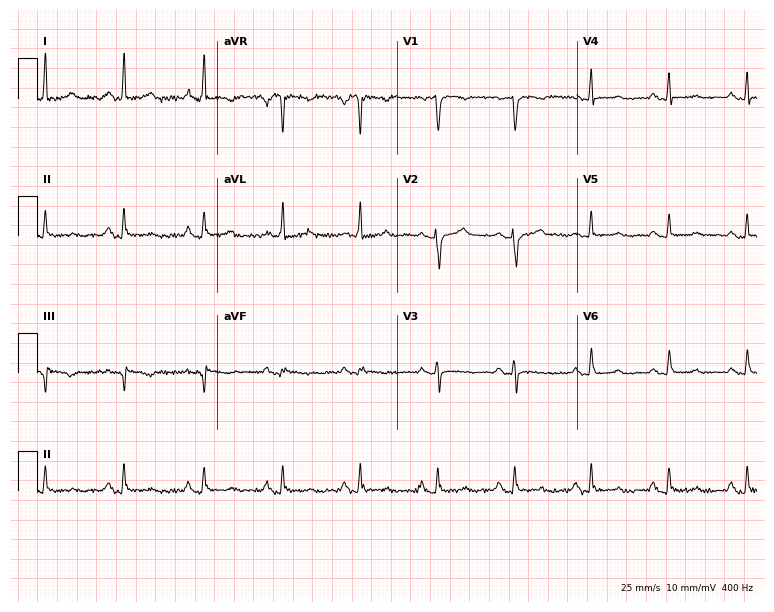
Resting 12-lead electrocardiogram. Patient: a 57-year-old female. None of these six findings is recorded: first-degree AV block, right bundle branch block, left bundle branch block, sinus bradycardia, atrial fibrillation, sinus tachycardia.